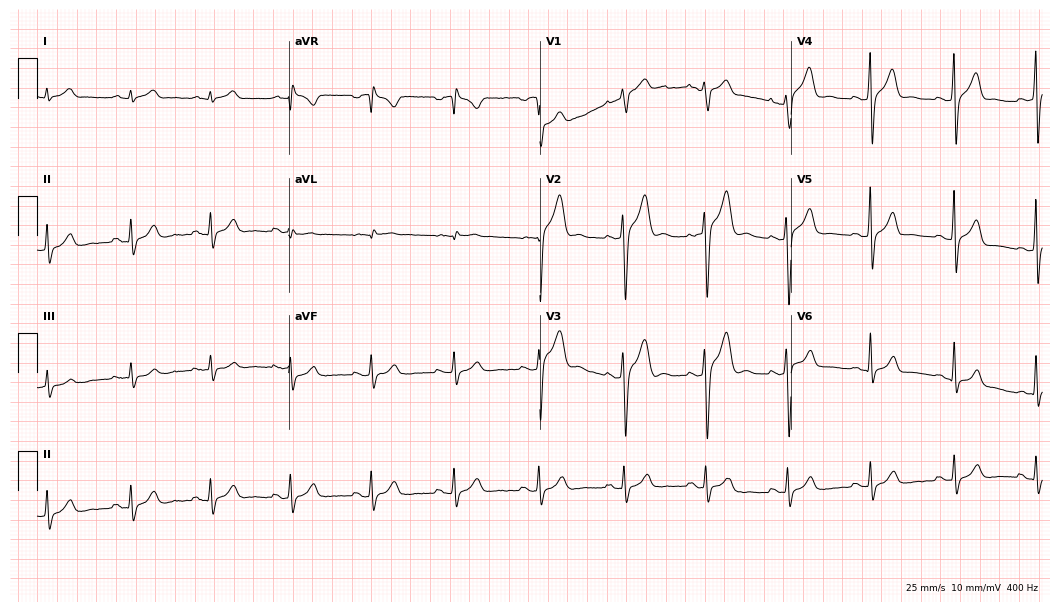
12-lead ECG from a 39-year-old man (10.2-second recording at 400 Hz). Recorded interpretation: within normal limits.